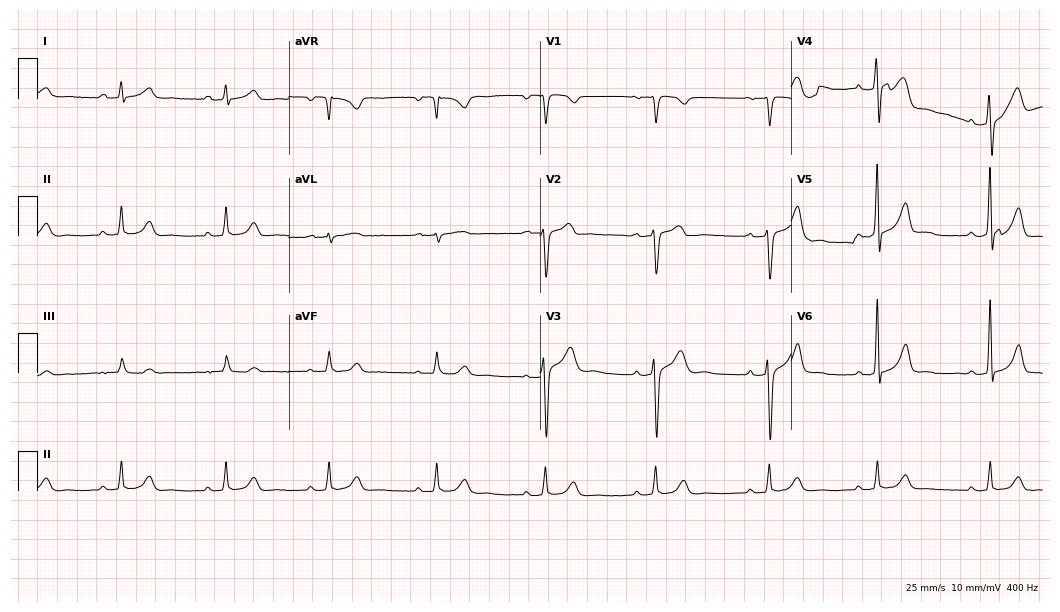
ECG — a man, 48 years old. Labelled as a normal ECG.